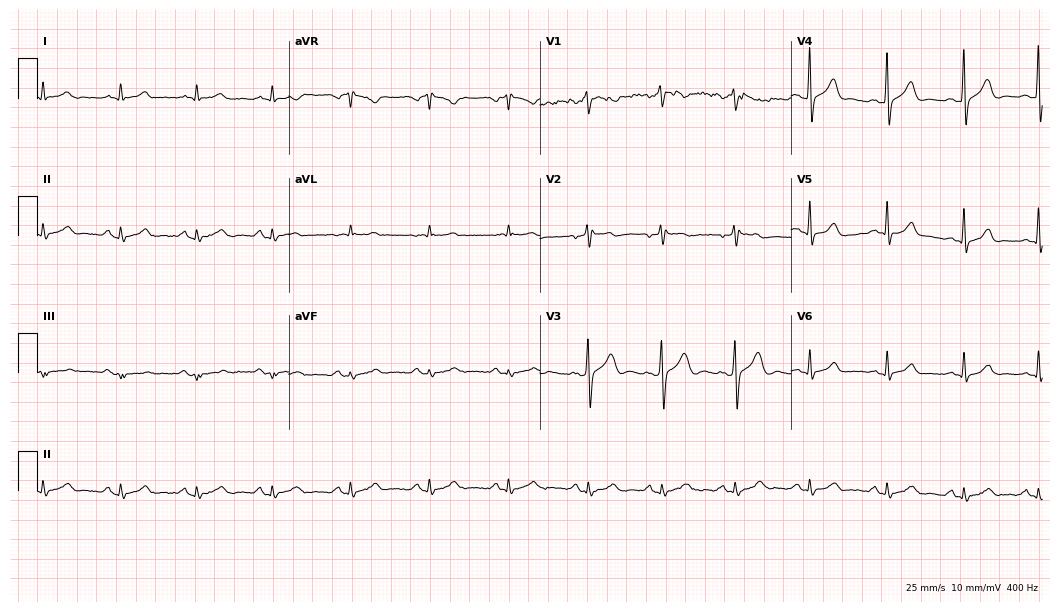
Resting 12-lead electrocardiogram (10.2-second recording at 400 Hz). Patient: a 43-year-old male. Read as a normal ECG.